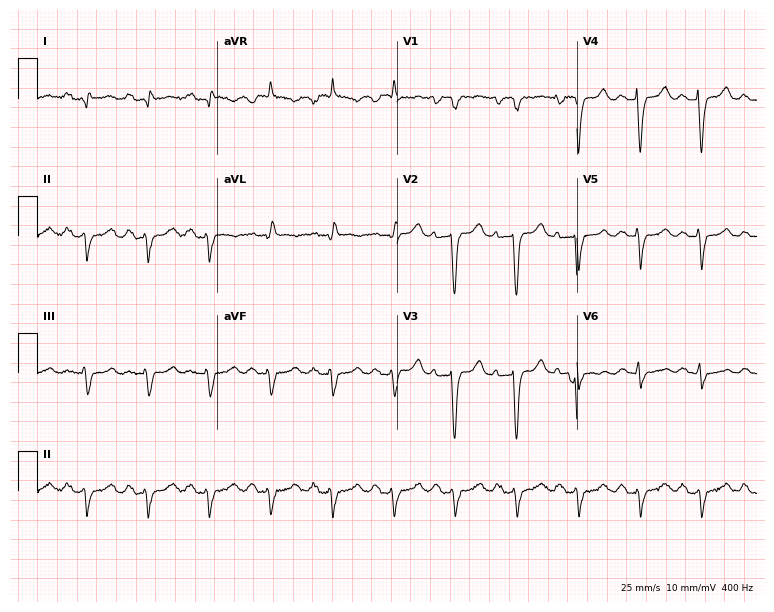
12-lead ECG from a 55-year-old female patient. Screened for six findings — first-degree AV block, right bundle branch block (RBBB), left bundle branch block (LBBB), sinus bradycardia, atrial fibrillation (AF), sinus tachycardia — none is recorded.